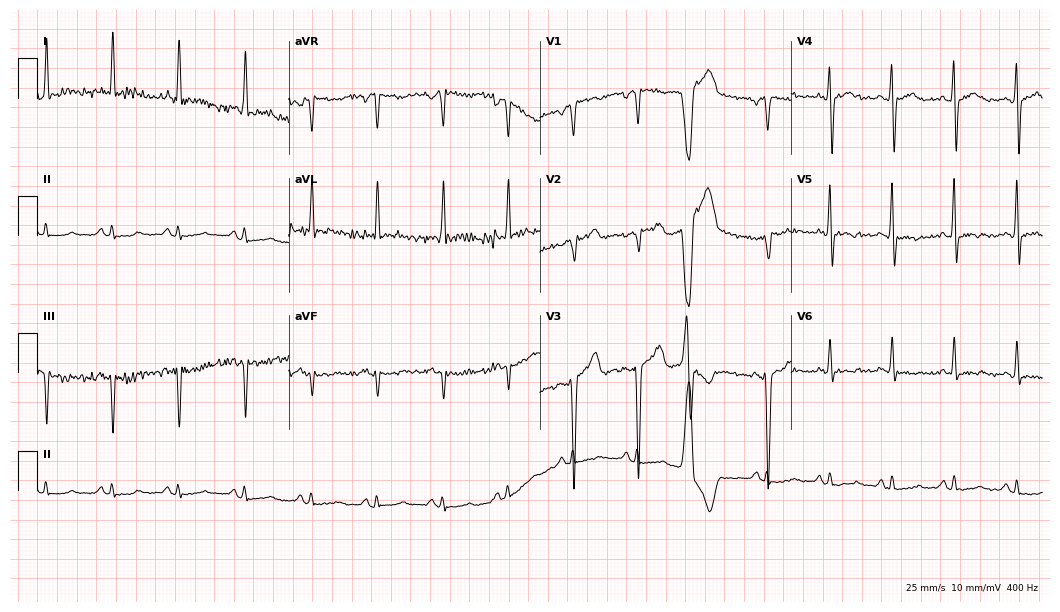
Electrocardiogram (10.2-second recording at 400 Hz), a 39-year-old male patient. Of the six screened findings (first-degree AV block, right bundle branch block (RBBB), left bundle branch block (LBBB), sinus bradycardia, atrial fibrillation (AF), sinus tachycardia), none is recorded. Only these six findings were labelled.